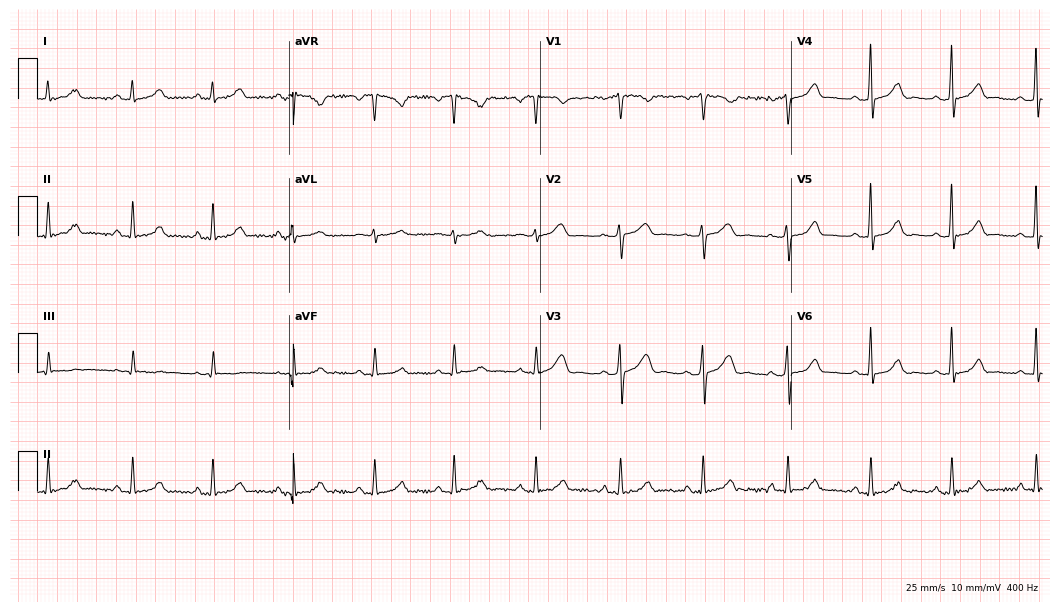
Standard 12-lead ECG recorded from a woman, 42 years old (10.2-second recording at 400 Hz). Read as a normal ECG.